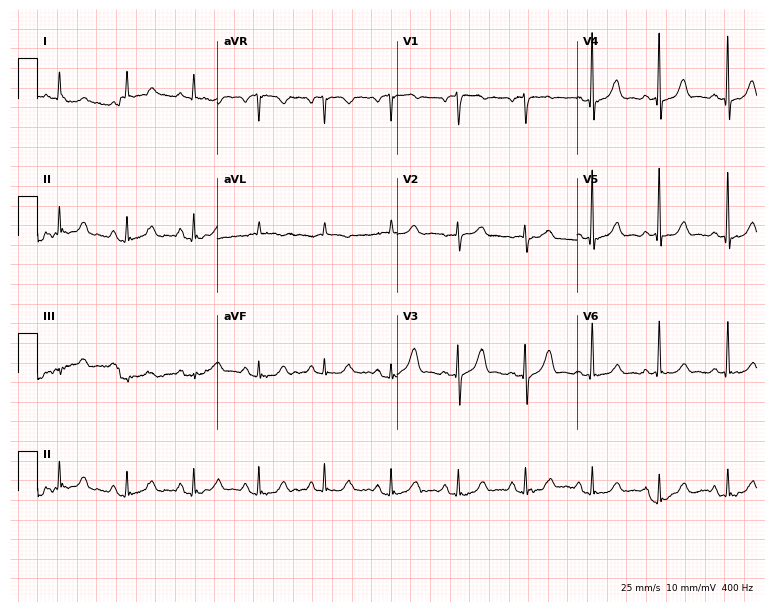
Standard 12-lead ECG recorded from a male patient, 84 years old. Read as a normal ECG.